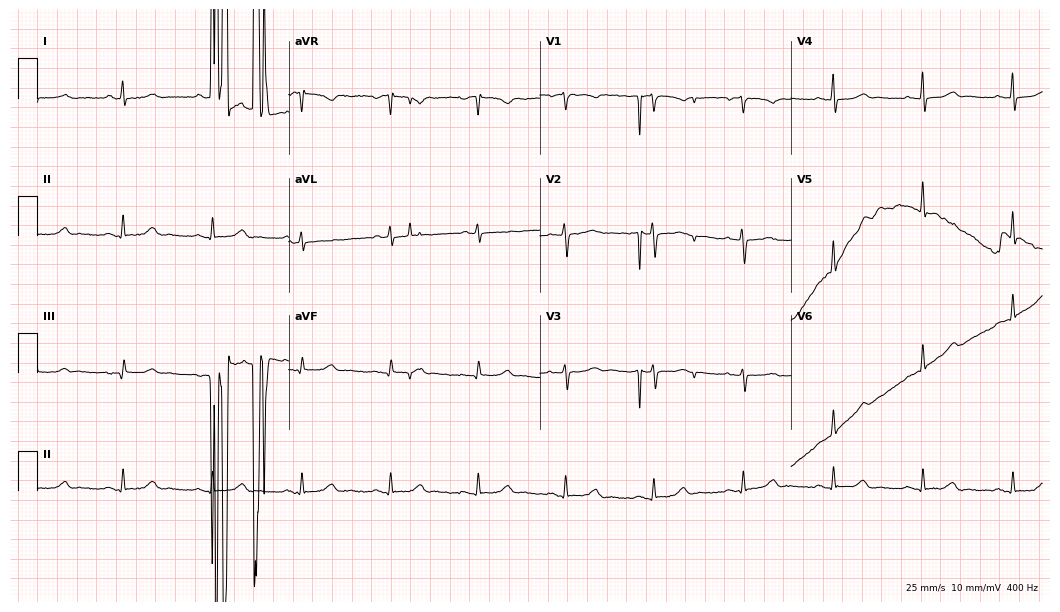
12-lead ECG from a female, 60 years old. Screened for six findings — first-degree AV block, right bundle branch block, left bundle branch block, sinus bradycardia, atrial fibrillation, sinus tachycardia — none is recorded. Only these six findings were labelled.